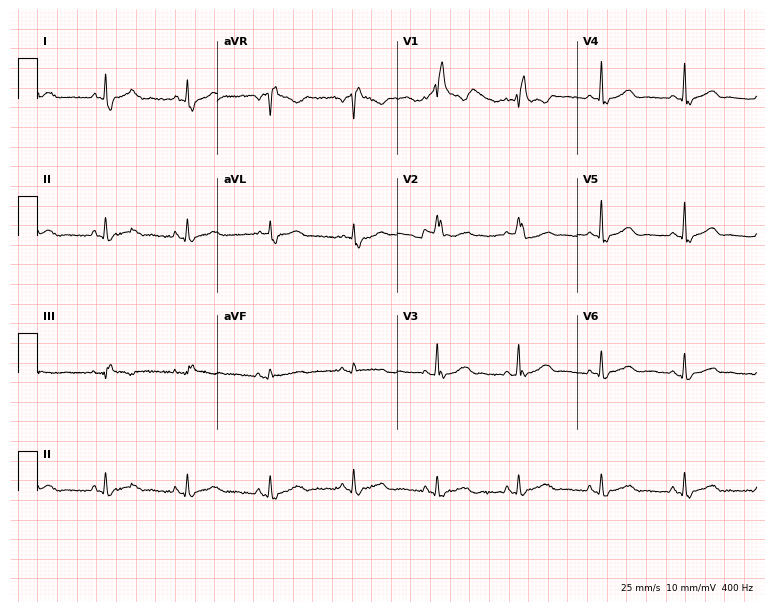
12-lead ECG from a 58-year-old woman. Shows right bundle branch block.